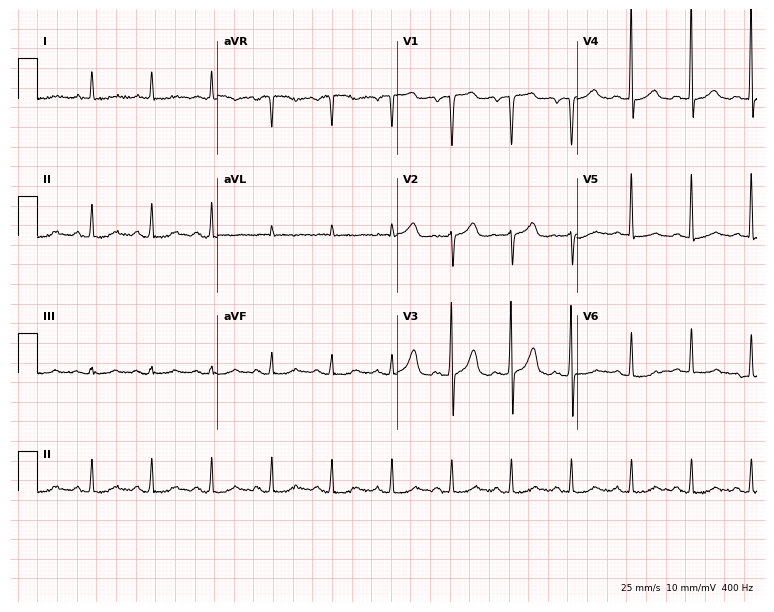
12-lead ECG from a male patient, 49 years old. Screened for six findings — first-degree AV block, right bundle branch block, left bundle branch block, sinus bradycardia, atrial fibrillation, sinus tachycardia — none is recorded.